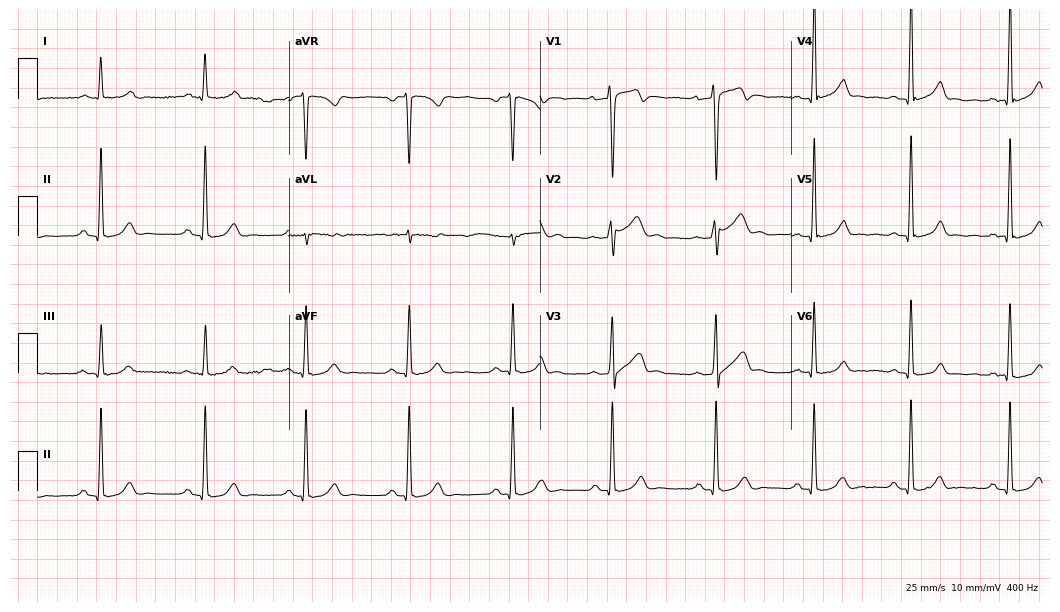
Standard 12-lead ECG recorded from a man, 28 years old. Read as a normal ECG.